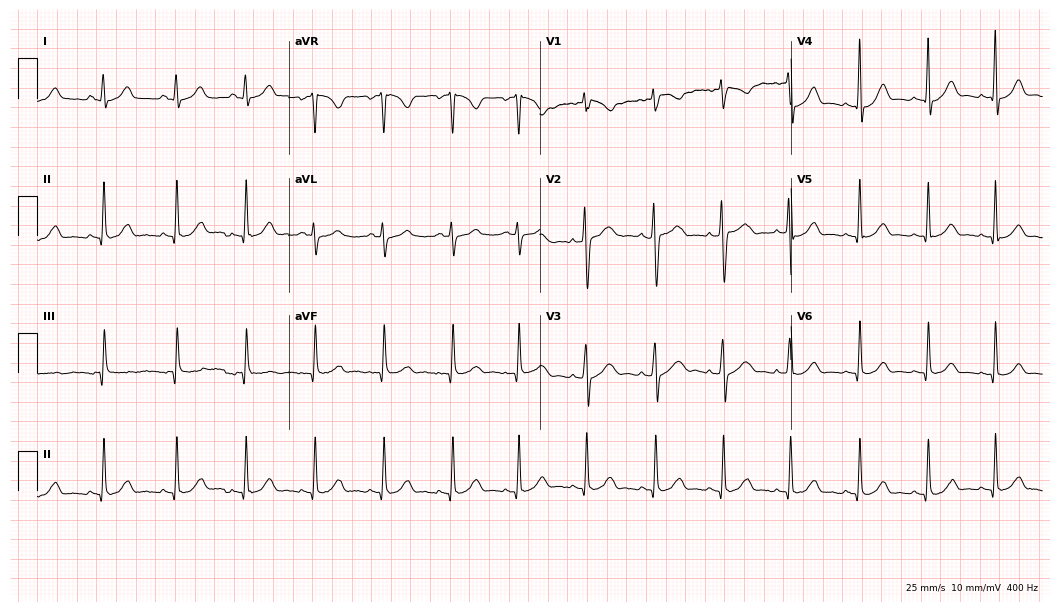
12-lead ECG from a 17-year-old woman (10.2-second recording at 400 Hz). Recorded interpretation: within normal limits.